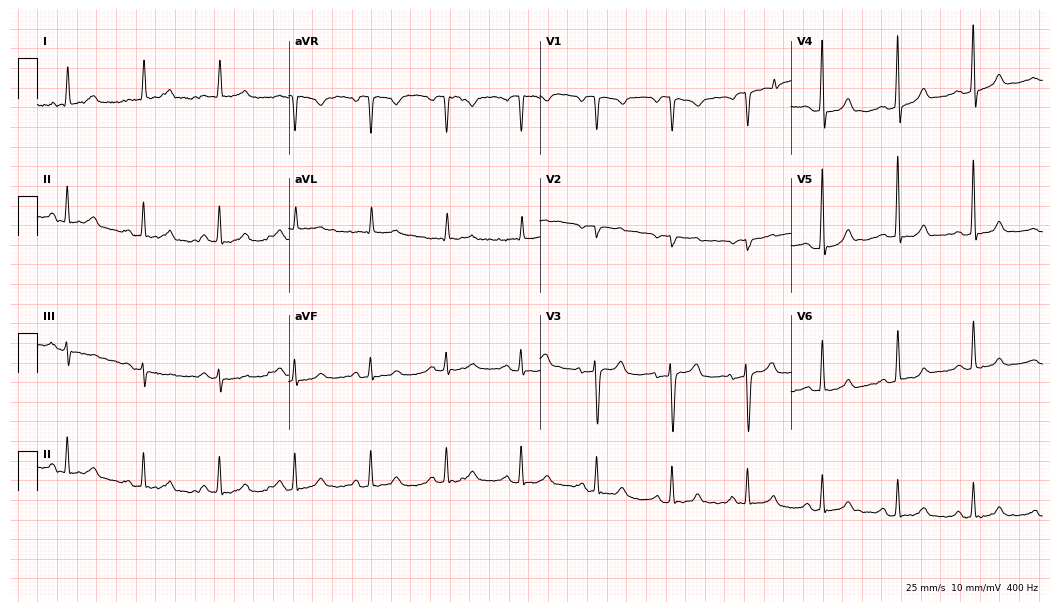
12-lead ECG from a woman, 83 years old. No first-degree AV block, right bundle branch block, left bundle branch block, sinus bradycardia, atrial fibrillation or sinus tachycardia recorded for this tracing. Findings outside these six are not listed.